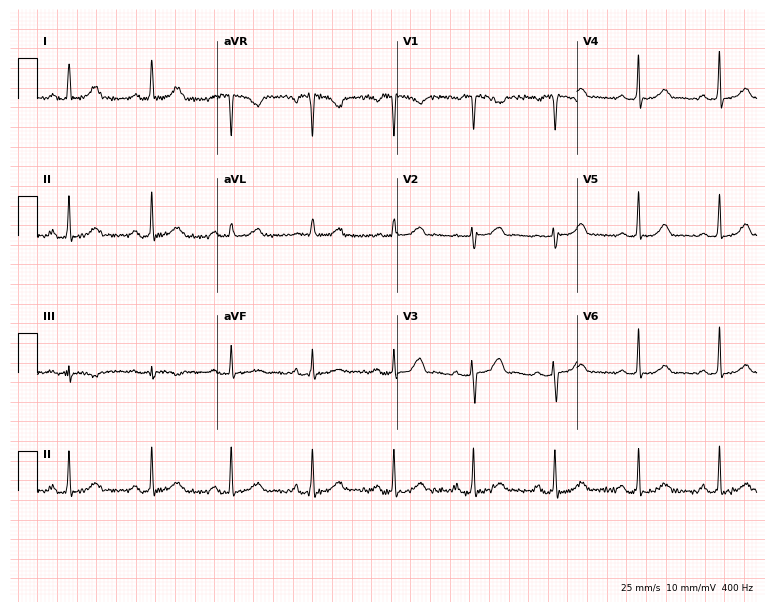
Resting 12-lead electrocardiogram (7.3-second recording at 400 Hz). Patient: a 32-year-old woman. Read as a normal ECG.